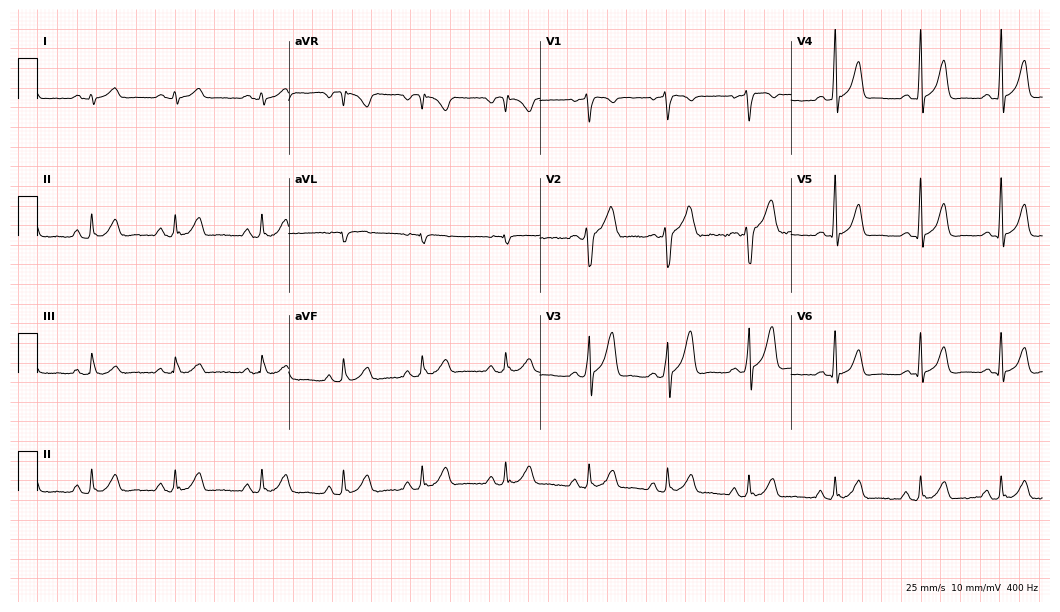
12-lead ECG from a 34-year-old male. No first-degree AV block, right bundle branch block, left bundle branch block, sinus bradycardia, atrial fibrillation or sinus tachycardia recorded for this tracing. Findings outside these six are not listed.